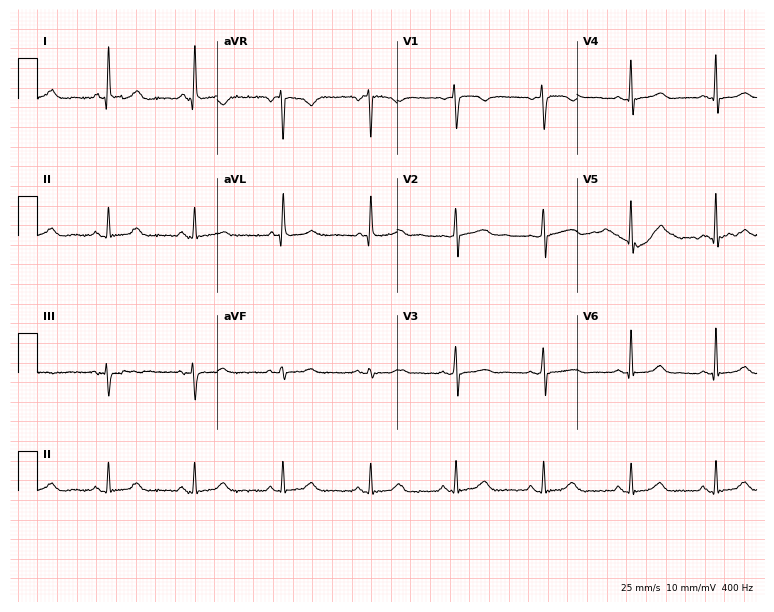
12-lead ECG from a 56-year-old woman. Recorded interpretation: within normal limits.